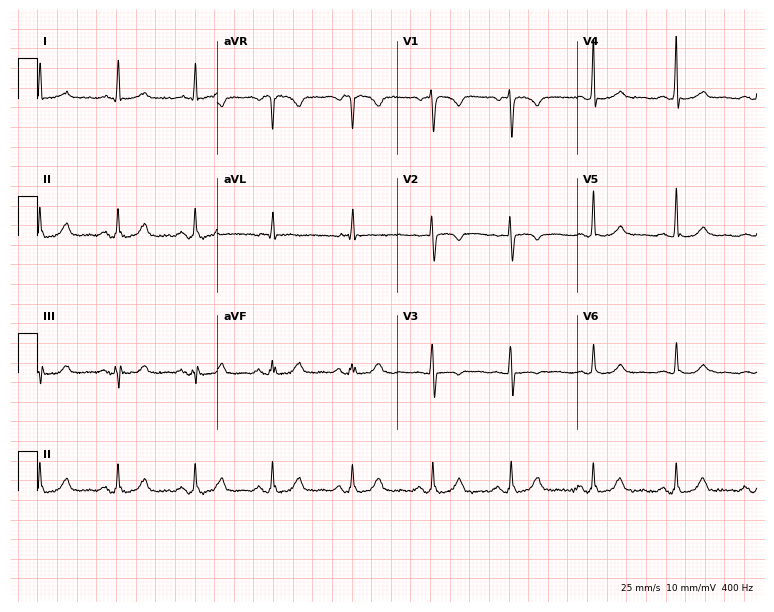
Electrocardiogram, a 40-year-old female. Overall reading on record: normal ECG.